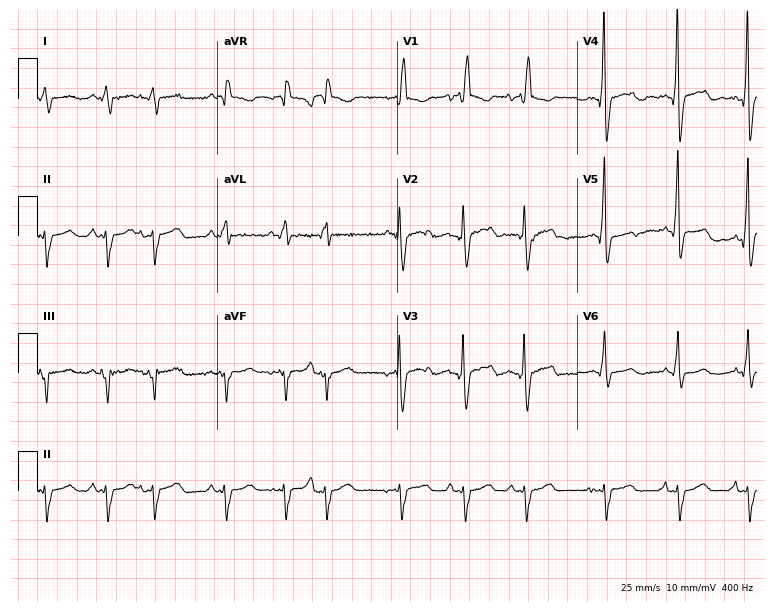
Resting 12-lead electrocardiogram (7.3-second recording at 400 Hz). Patient: a male, 60 years old. The tracing shows right bundle branch block.